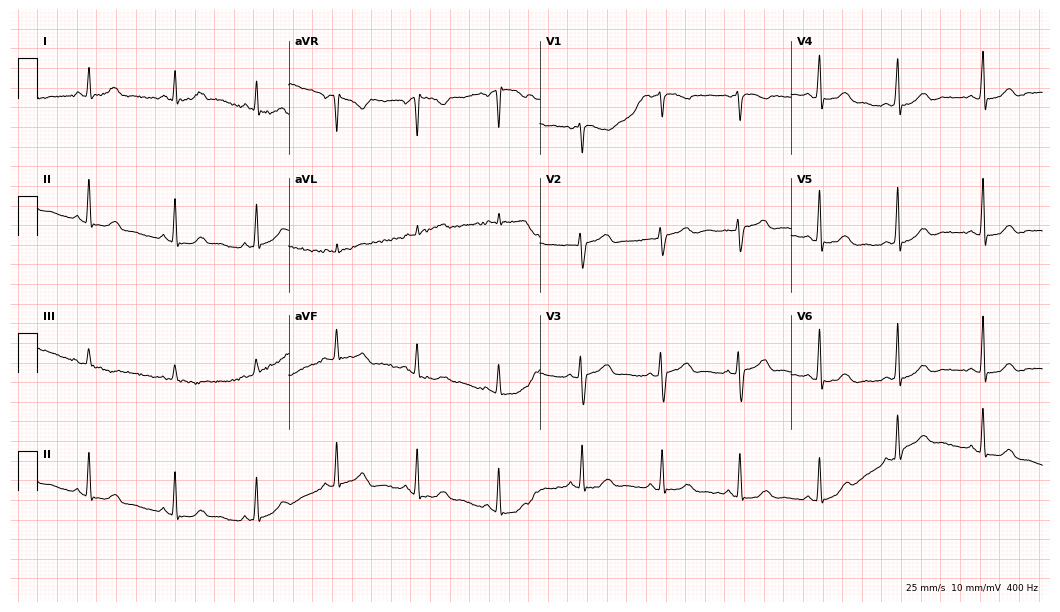
Electrocardiogram, a female patient, 46 years old. Overall reading on record: normal ECG.